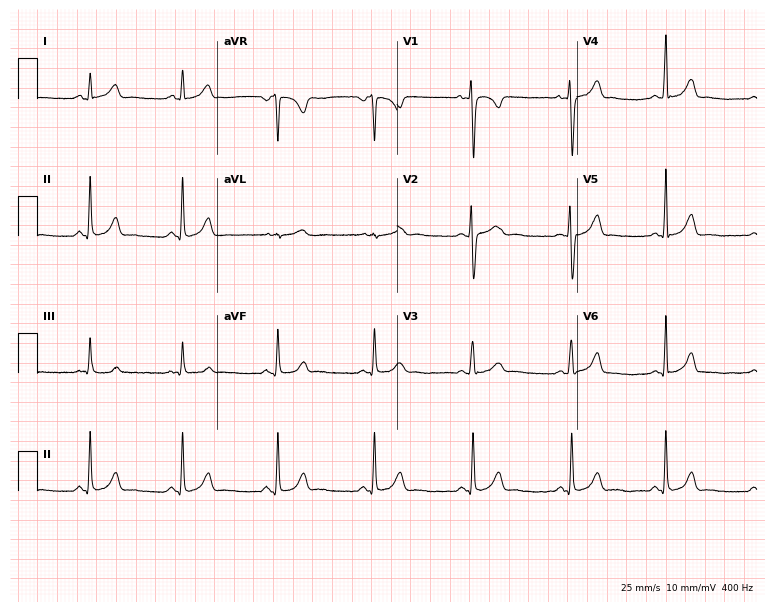
12-lead ECG (7.3-second recording at 400 Hz) from a female patient, 24 years old. Labelled as a normal ECG.